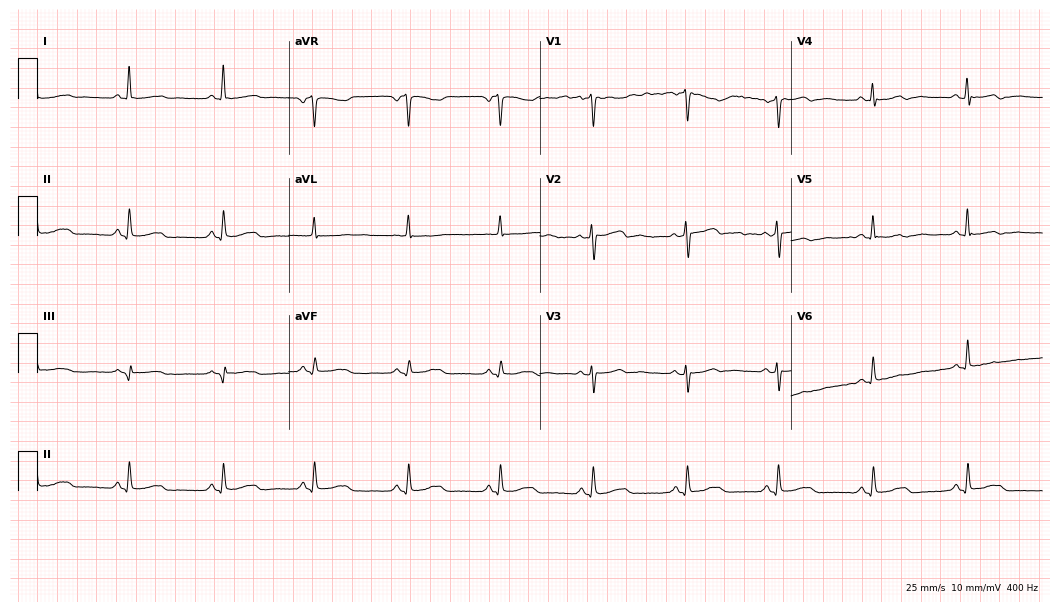
Electrocardiogram, a 51-year-old female. Of the six screened findings (first-degree AV block, right bundle branch block, left bundle branch block, sinus bradycardia, atrial fibrillation, sinus tachycardia), none is recorded. Only these six findings were labelled.